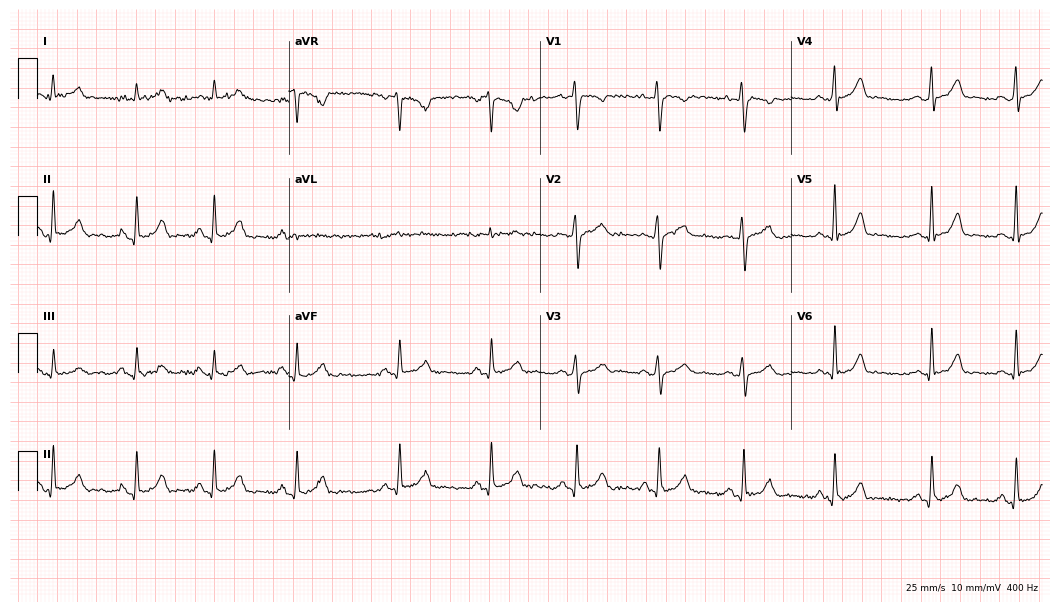
ECG (10.2-second recording at 400 Hz) — a 29-year-old woman. Labelled as a normal ECG.